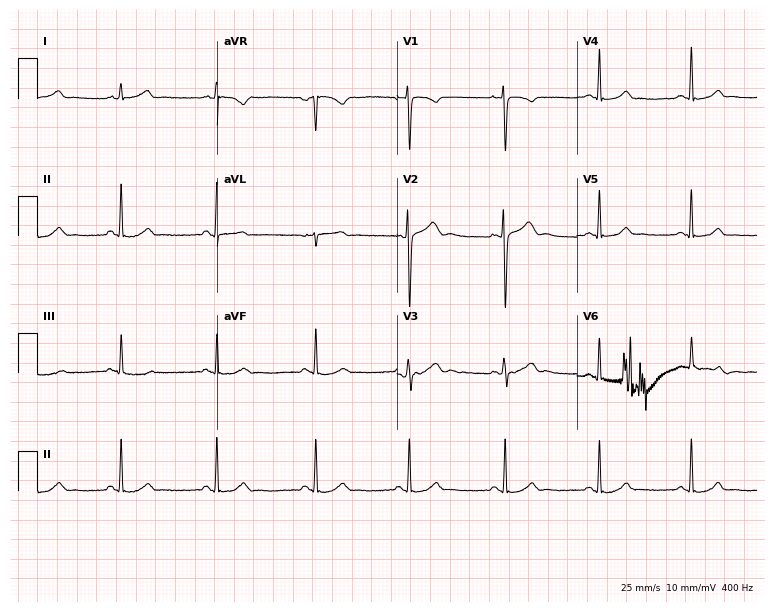
ECG (7.3-second recording at 400 Hz) — a female patient, 23 years old. Screened for six findings — first-degree AV block, right bundle branch block, left bundle branch block, sinus bradycardia, atrial fibrillation, sinus tachycardia — none is recorded.